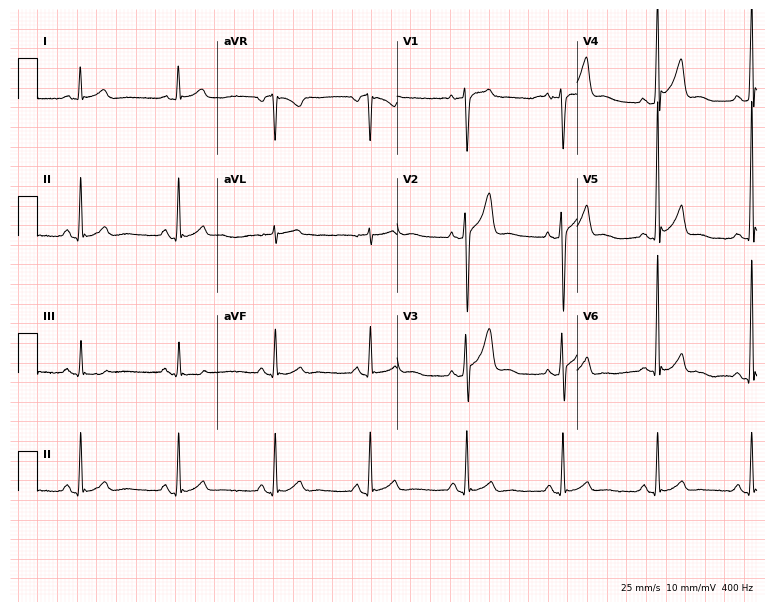
ECG — a 36-year-old male patient. Screened for six findings — first-degree AV block, right bundle branch block (RBBB), left bundle branch block (LBBB), sinus bradycardia, atrial fibrillation (AF), sinus tachycardia — none is recorded. Findings outside these six are not listed.